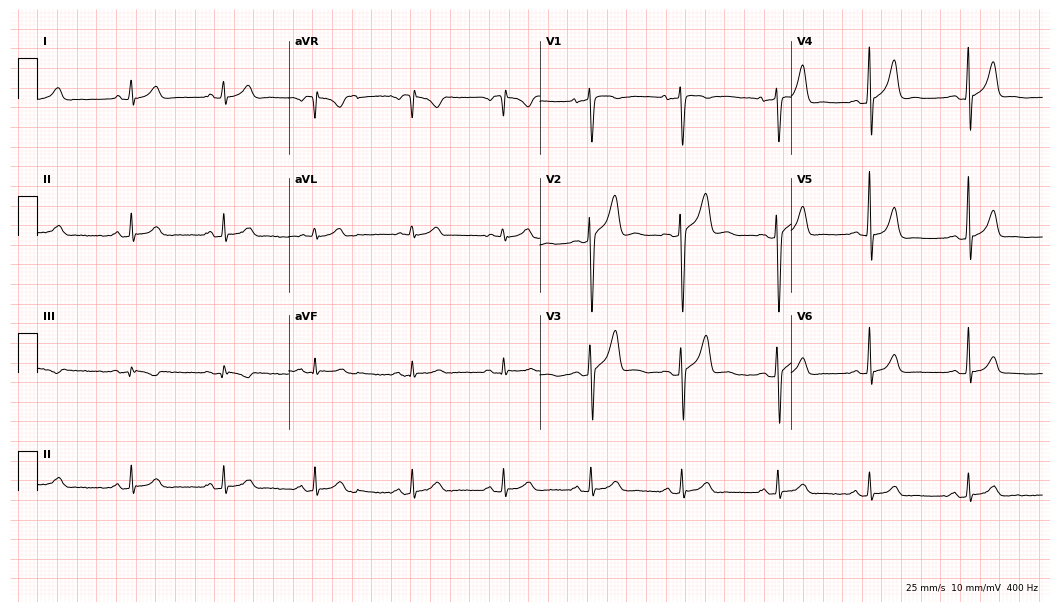
Standard 12-lead ECG recorded from a 32-year-old man. None of these six findings is recorded: first-degree AV block, right bundle branch block, left bundle branch block, sinus bradycardia, atrial fibrillation, sinus tachycardia.